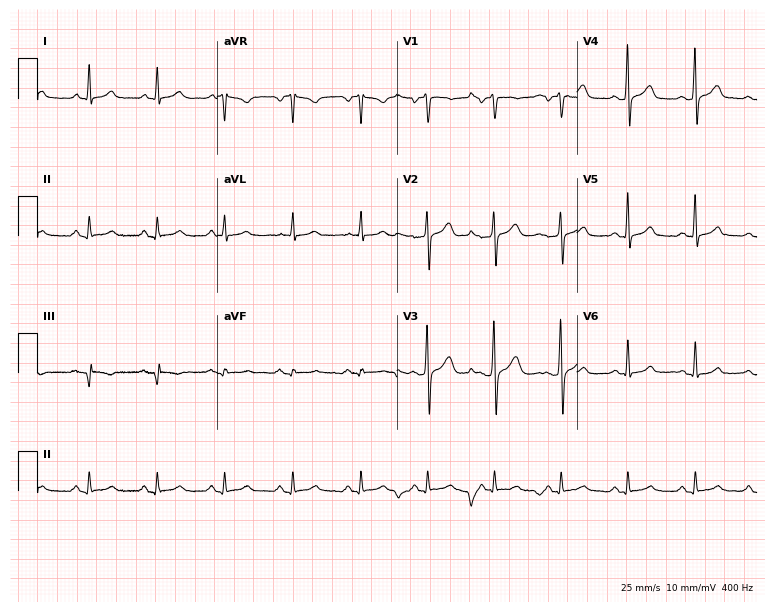
ECG (7.3-second recording at 400 Hz) — a female, 44 years old. Labelled as a normal ECG.